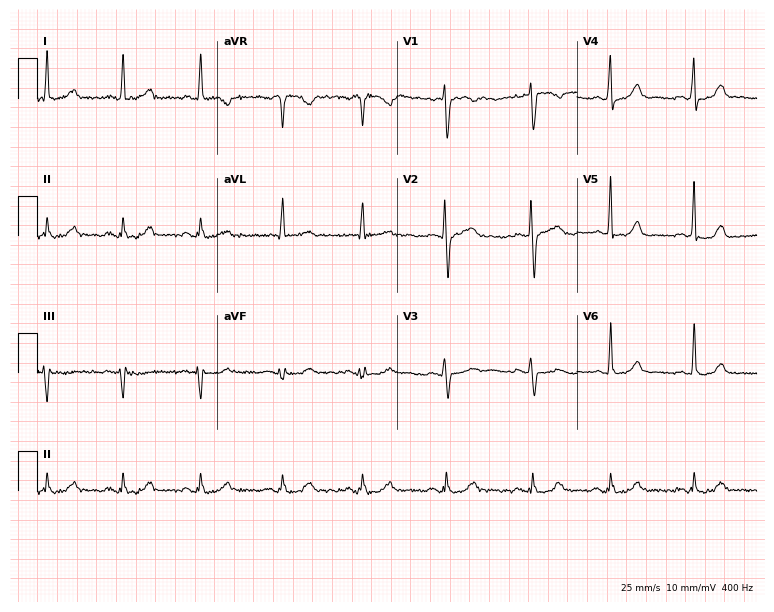
ECG — a 43-year-old woman. Labelled as a normal ECG.